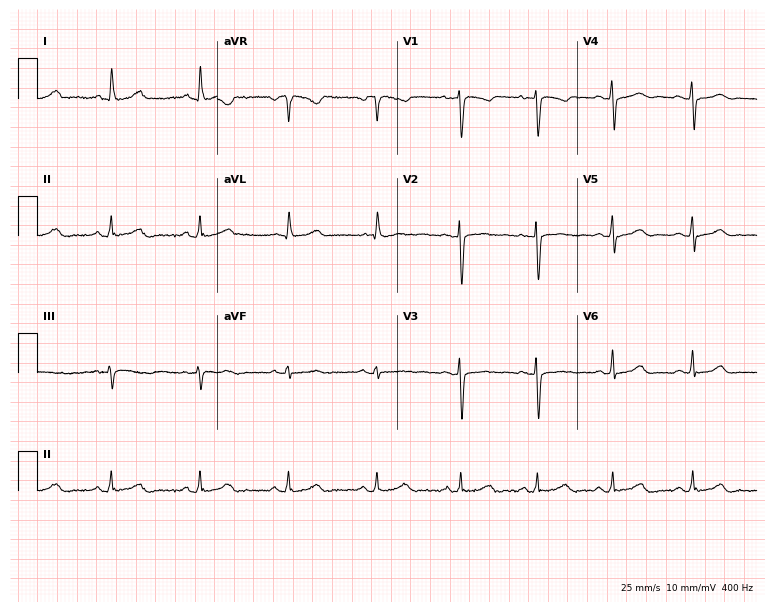
Electrocardiogram, a 38-year-old female patient. Of the six screened findings (first-degree AV block, right bundle branch block, left bundle branch block, sinus bradycardia, atrial fibrillation, sinus tachycardia), none is recorded.